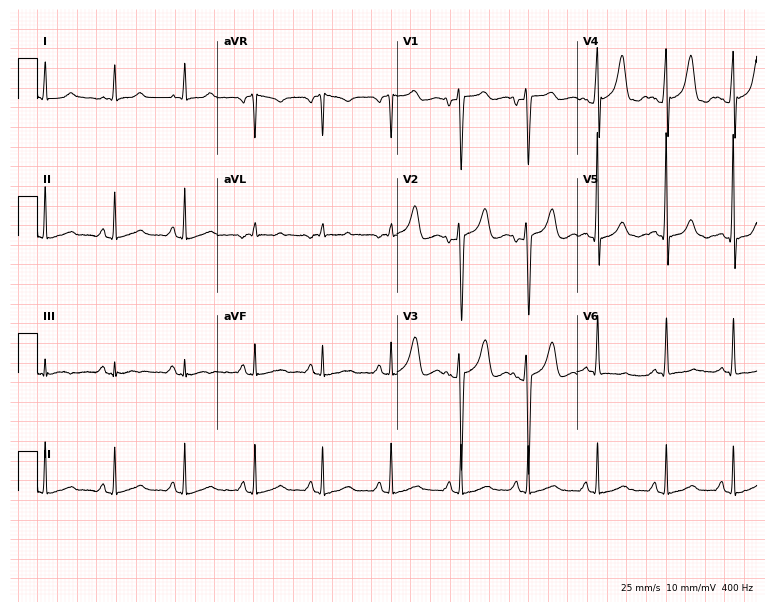
Standard 12-lead ECG recorded from a female, 36 years old. None of these six findings is recorded: first-degree AV block, right bundle branch block, left bundle branch block, sinus bradycardia, atrial fibrillation, sinus tachycardia. Only these six findings were labelled.